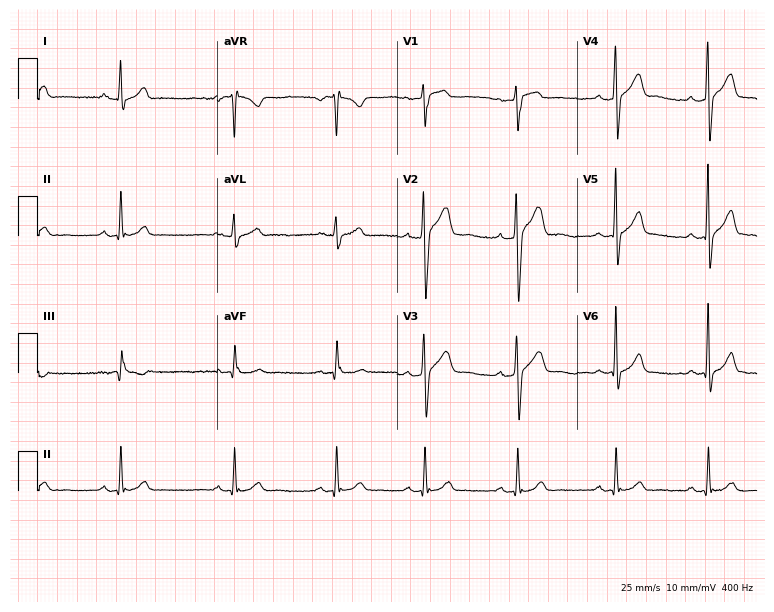
12-lead ECG (7.3-second recording at 400 Hz) from a 25-year-old male patient. Labelled as a normal ECG.